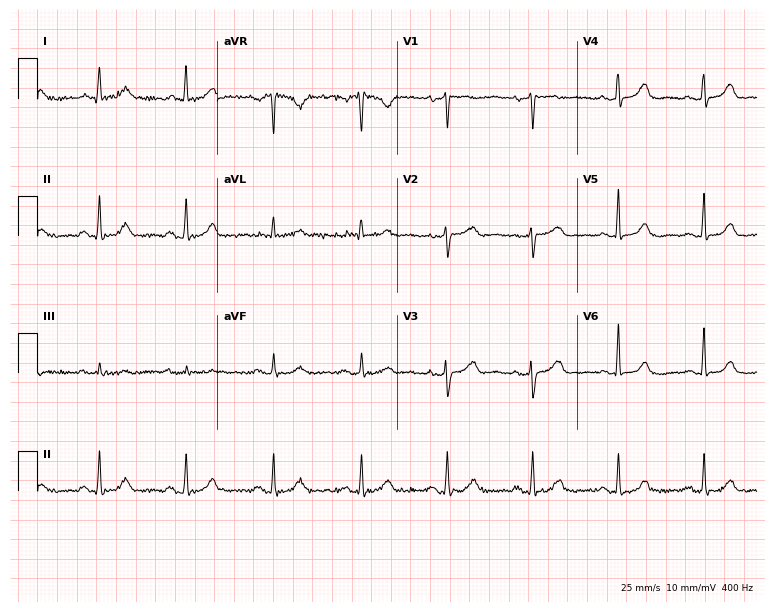
Standard 12-lead ECG recorded from a woman, 69 years old (7.3-second recording at 400 Hz). Read as a normal ECG.